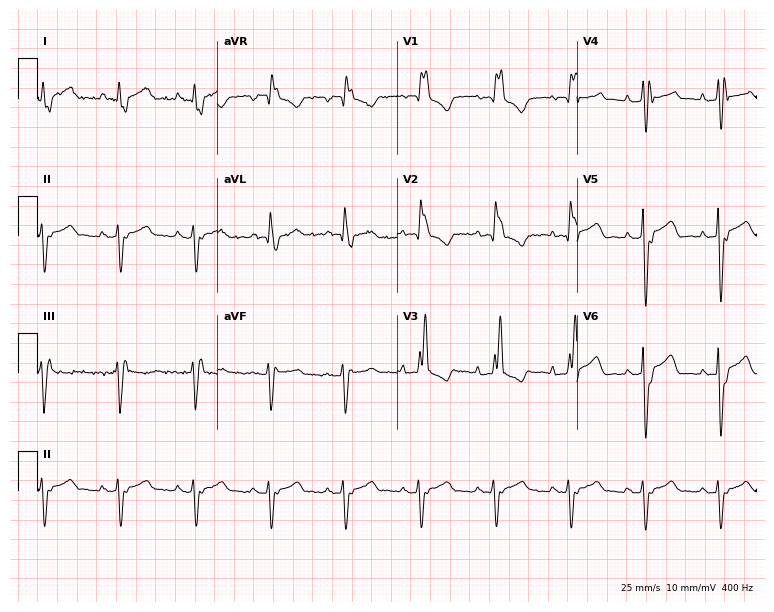
ECG — a man, 51 years old. Findings include right bundle branch block (RBBB).